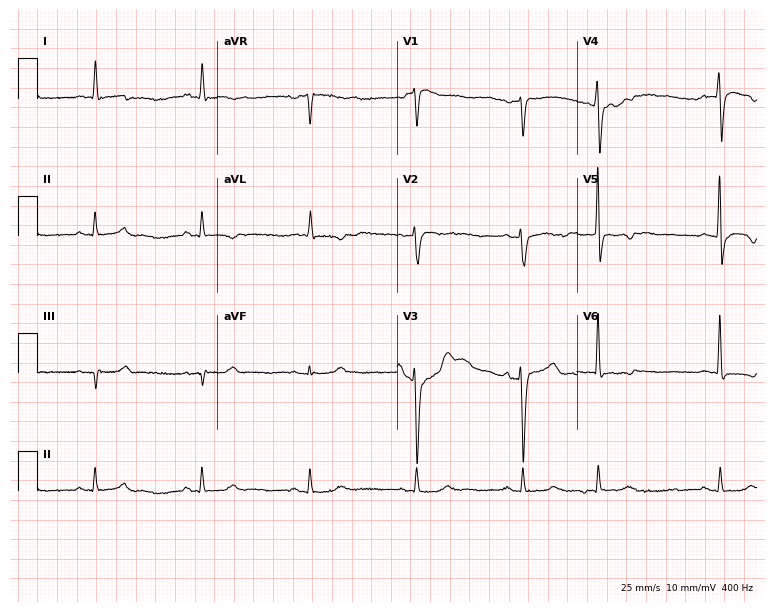
Standard 12-lead ECG recorded from an 81-year-old male (7.3-second recording at 400 Hz). None of these six findings is recorded: first-degree AV block, right bundle branch block, left bundle branch block, sinus bradycardia, atrial fibrillation, sinus tachycardia. Only these six findings were labelled.